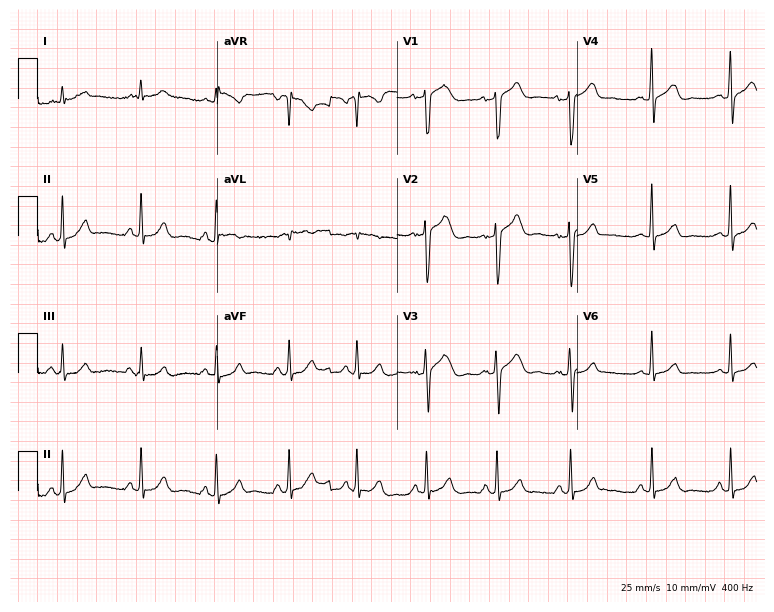
Electrocardiogram, a 44-year-old male patient. Of the six screened findings (first-degree AV block, right bundle branch block (RBBB), left bundle branch block (LBBB), sinus bradycardia, atrial fibrillation (AF), sinus tachycardia), none is recorded.